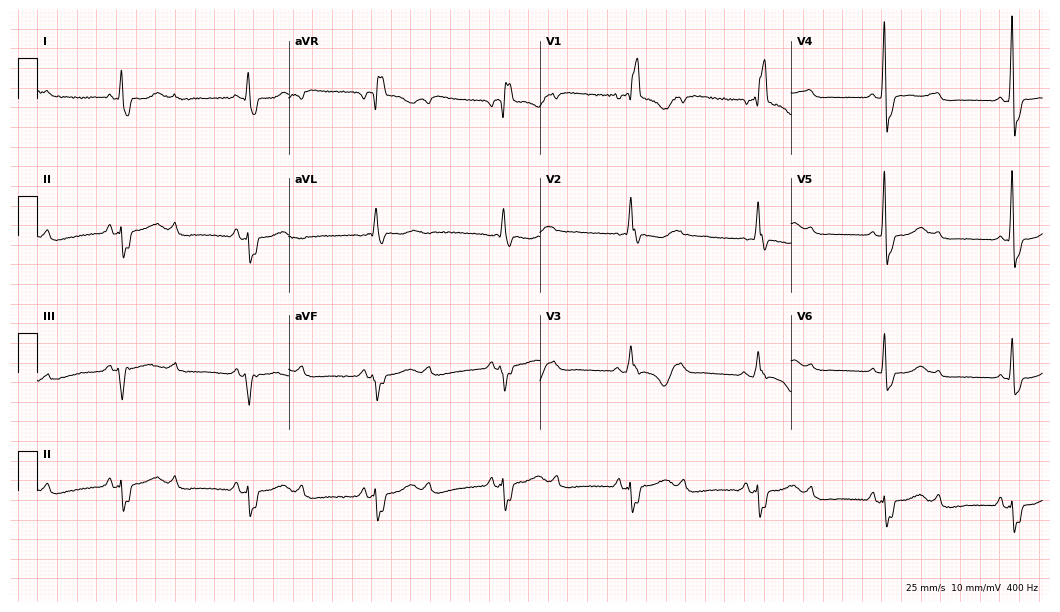
Electrocardiogram, a 65-year-old female patient. Interpretation includes right bundle branch block.